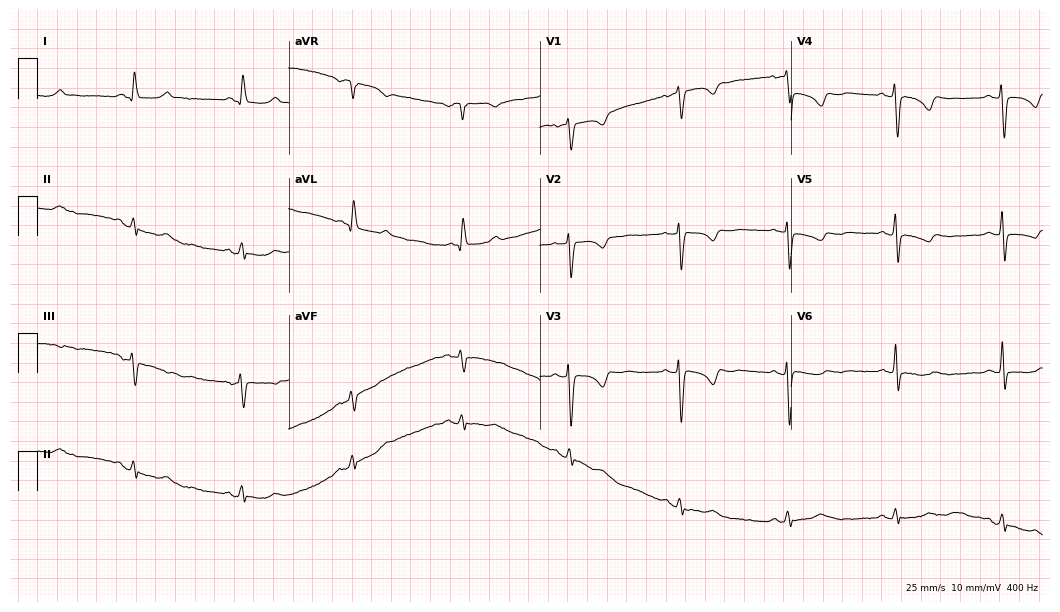
Standard 12-lead ECG recorded from a 68-year-old female patient (10.2-second recording at 400 Hz). None of these six findings is recorded: first-degree AV block, right bundle branch block (RBBB), left bundle branch block (LBBB), sinus bradycardia, atrial fibrillation (AF), sinus tachycardia.